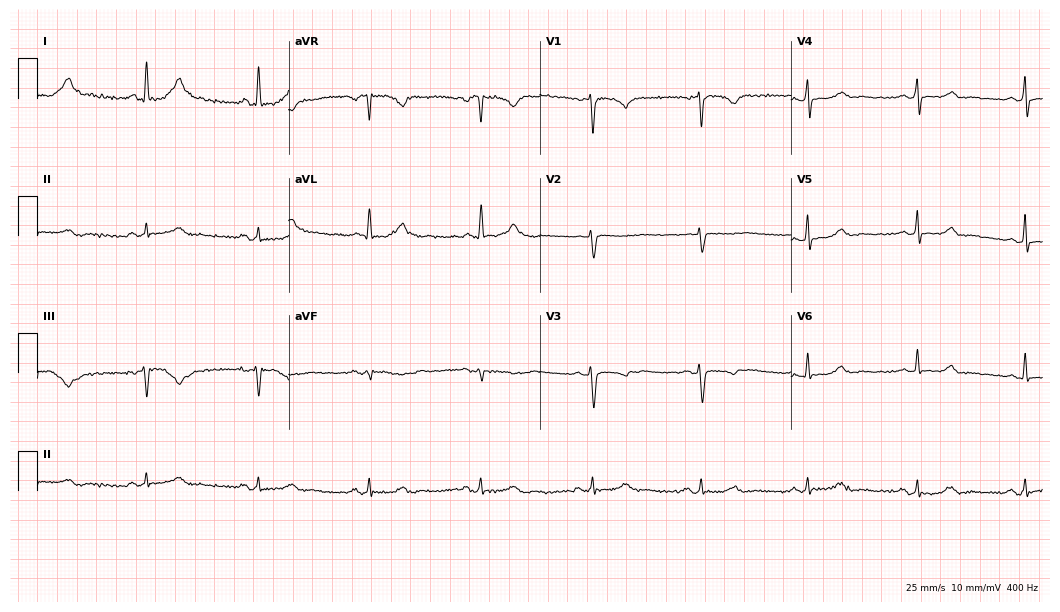
ECG (10.2-second recording at 400 Hz) — a female, 68 years old. Labelled as a normal ECG.